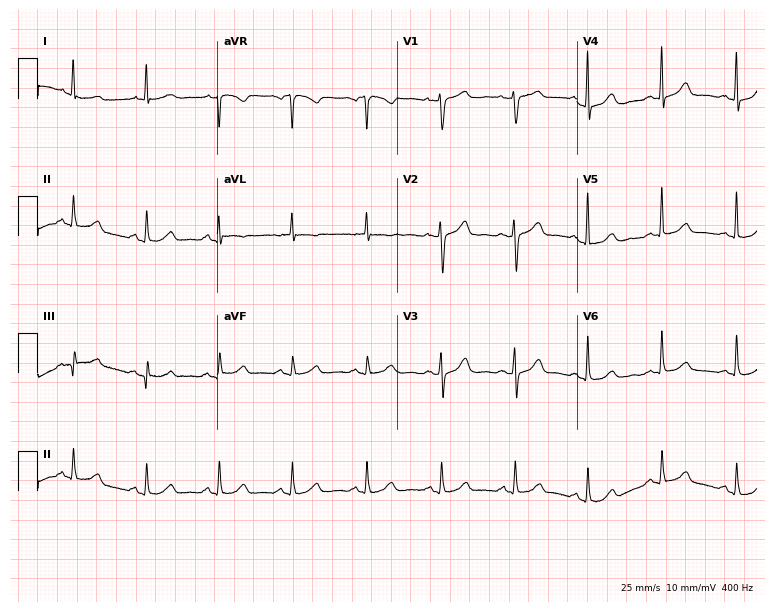
Standard 12-lead ECG recorded from a female, 72 years old. Read as a normal ECG.